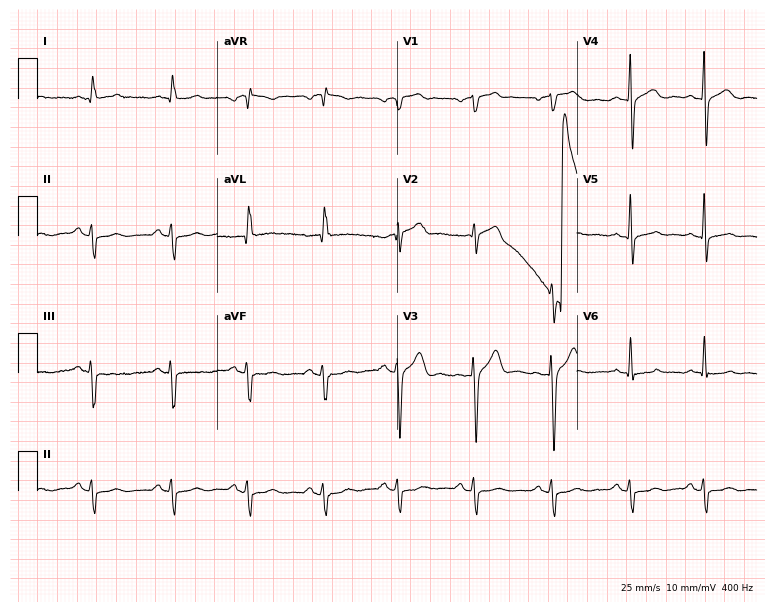
ECG (7.3-second recording at 400 Hz) — a 54-year-old male patient. Screened for six findings — first-degree AV block, right bundle branch block (RBBB), left bundle branch block (LBBB), sinus bradycardia, atrial fibrillation (AF), sinus tachycardia — none is recorded. Findings outside these six are not listed.